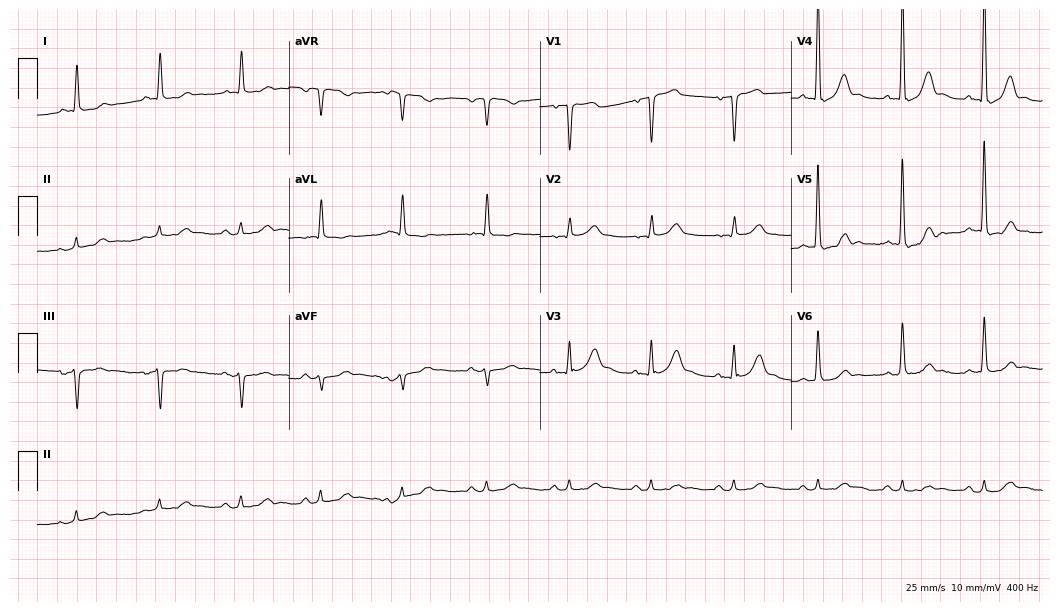
12-lead ECG from a male, 71 years old. Labelled as a normal ECG.